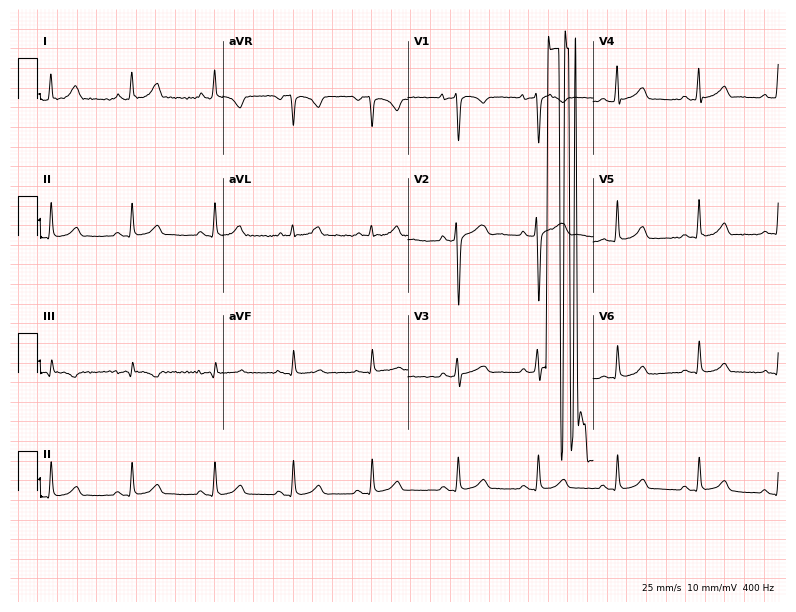
12-lead ECG from a 27-year-old female (7.6-second recording at 400 Hz). Recorded interpretation: within normal limits.